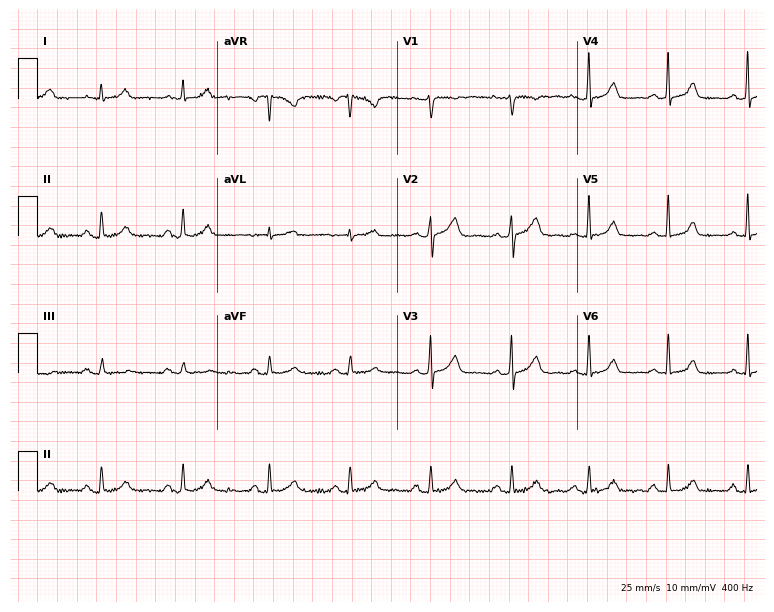
Standard 12-lead ECG recorded from a 29-year-old woman (7.3-second recording at 400 Hz). None of these six findings is recorded: first-degree AV block, right bundle branch block, left bundle branch block, sinus bradycardia, atrial fibrillation, sinus tachycardia. Other findings, if any, are not listed.